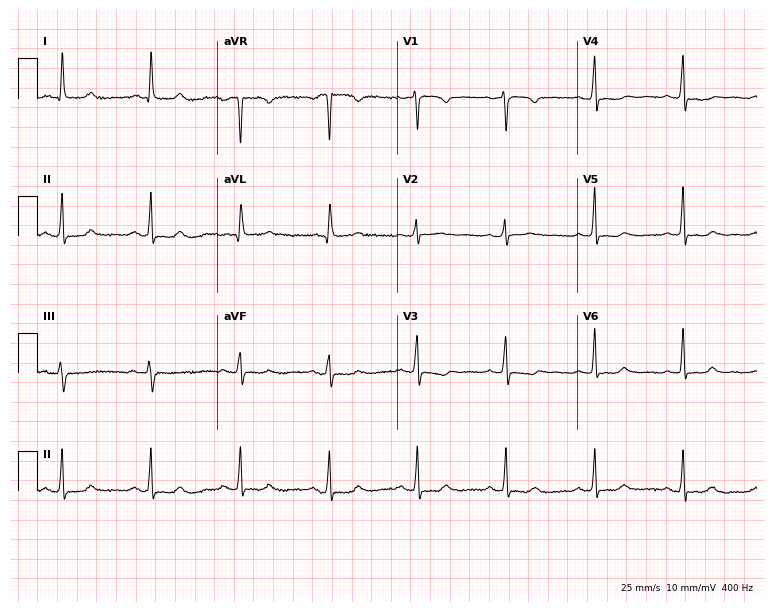
Electrocardiogram, a 58-year-old female. Of the six screened findings (first-degree AV block, right bundle branch block (RBBB), left bundle branch block (LBBB), sinus bradycardia, atrial fibrillation (AF), sinus tachycardia), none is recorded.